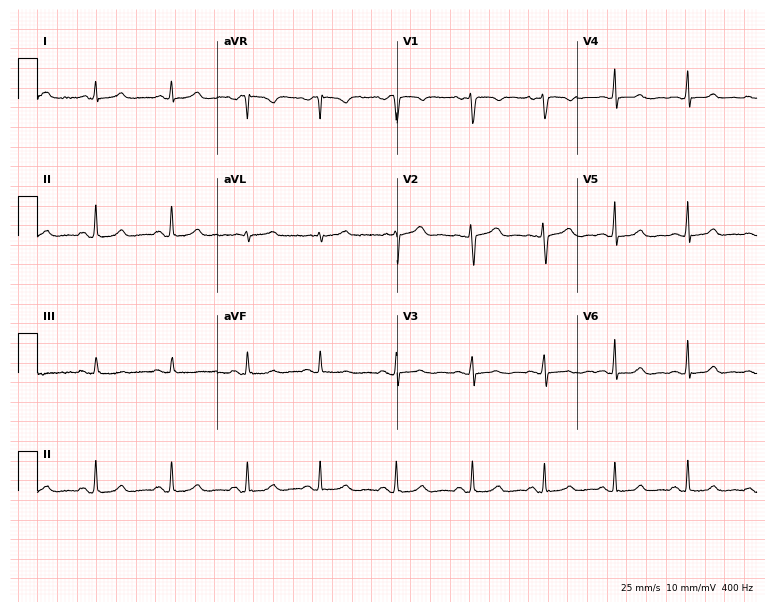
12-lead ECG (7.3-second recording at 400 Hz) from a 47-year-old female. Labelled as a normal ECG.